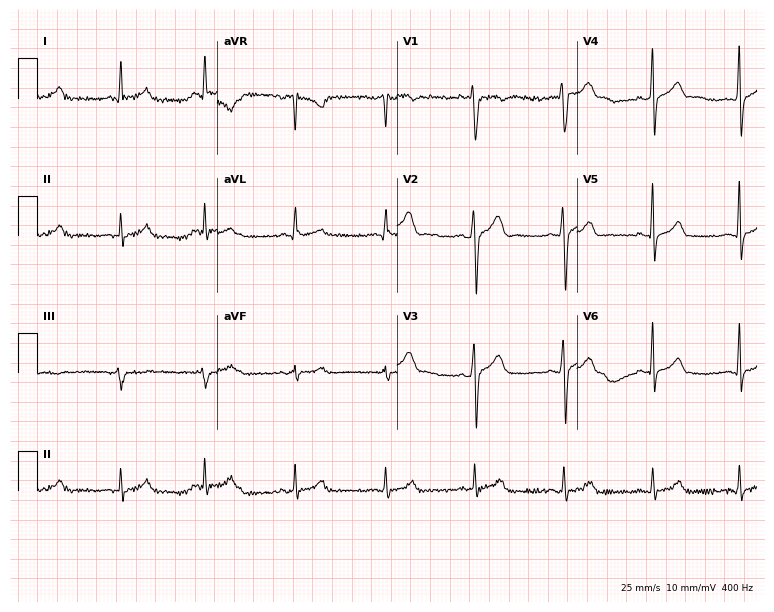
Resting 12-lead electrocardiogram. Patient: a 30-year-old male. Read as a normal ECG.